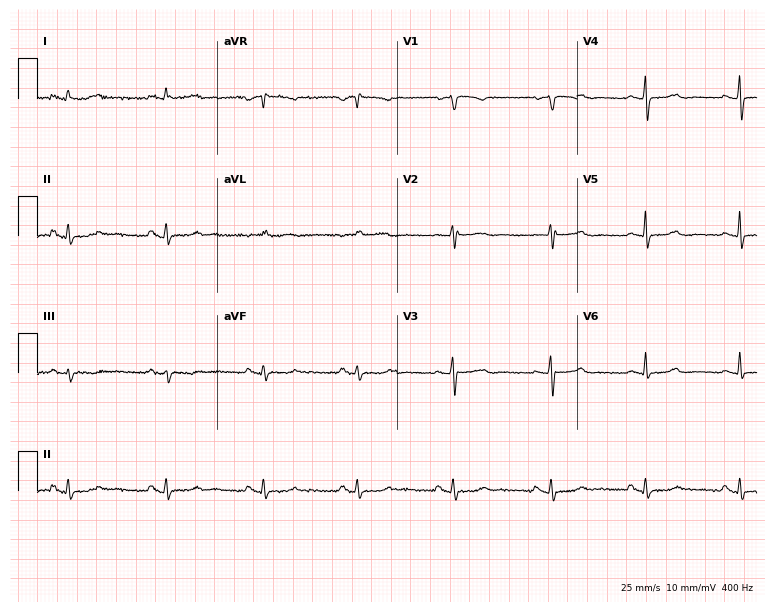
12-lead ECG (7.3-second recording at 400 Hz) from a 53-year-old woman. Screened for six findings — first-degree AV block, right bundle branch block, left bundle branch block, sinus bradycardia, atrial fibrillation, sinus tachycardia — none is recorded. Only these six findings were labelled.